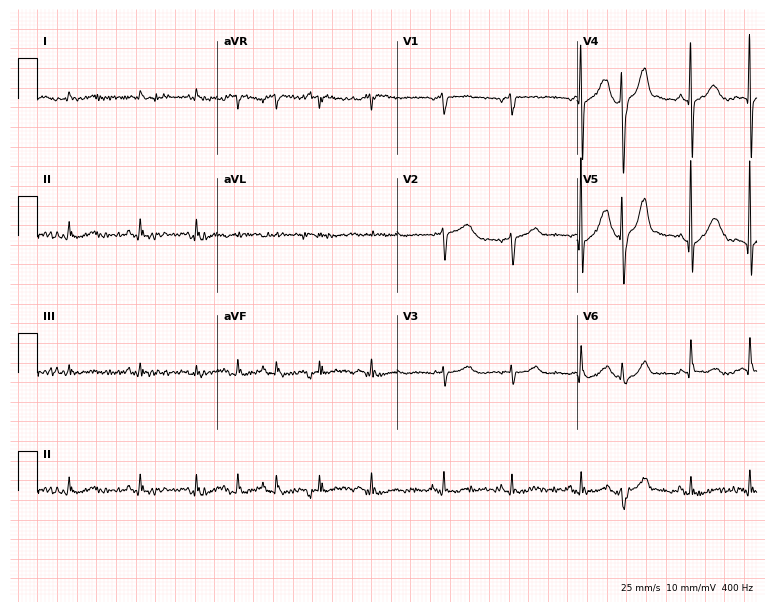
Resting 12-lead electrocardiogram. Patient: a male, 84 years old. None of these six findings is recorded: first-degree AV block, right bundle branch block, left bundle branch block, sinus bradycardia, atrial fibrillation, sinus tachycardia.